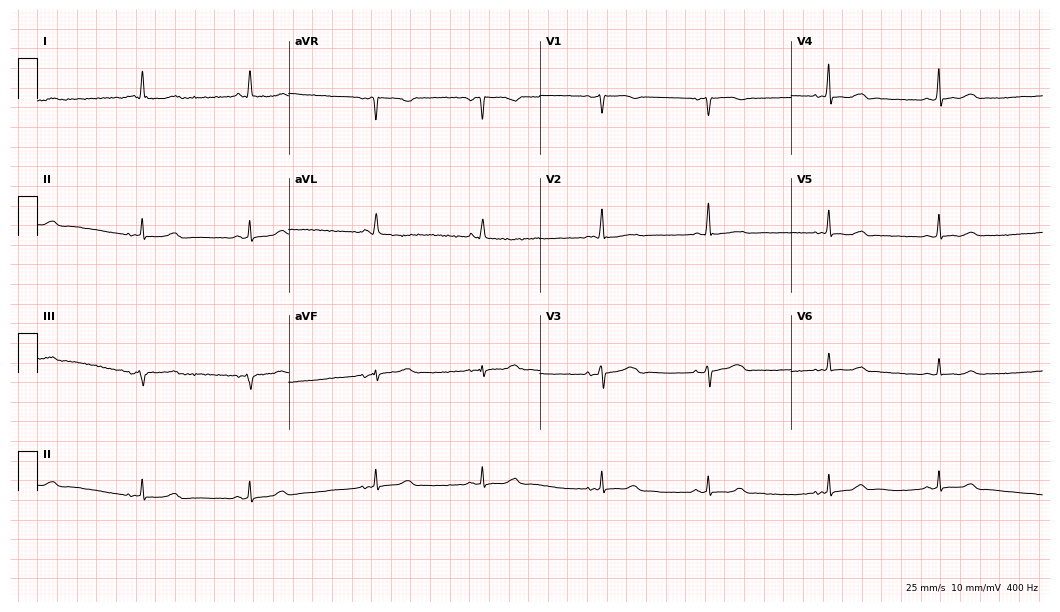
12-lead ECG from a female patient, 64 years old. Labelled as a normal ECG.